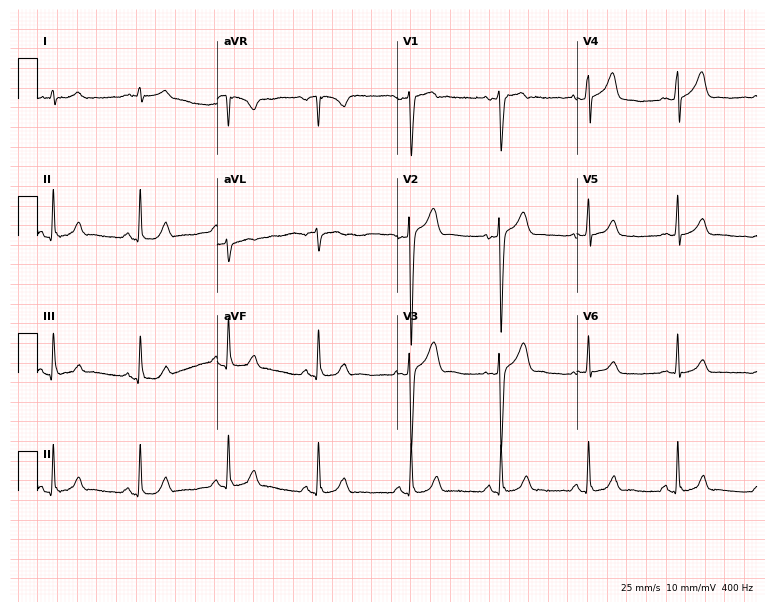
12-lead ECG (7.3-second recording at 400 Hz) from a male patient, 34 years old. Labelled as a normal ECG.